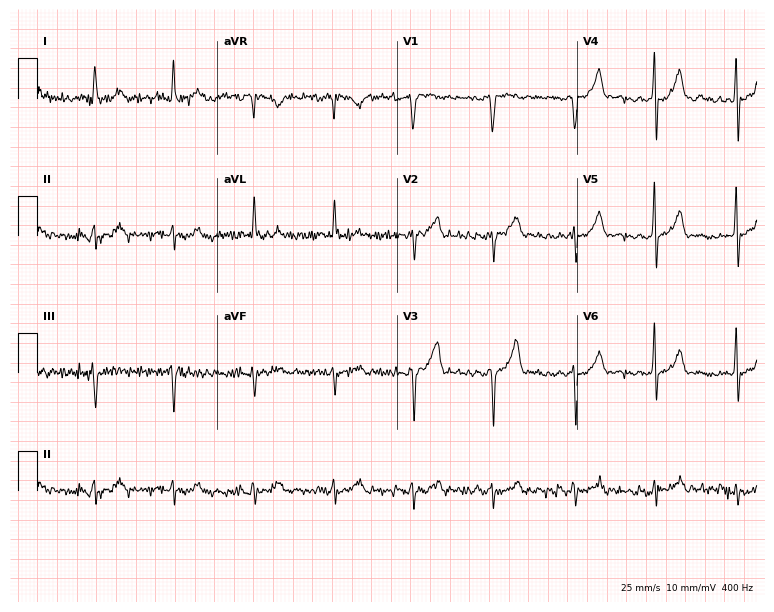
ECG (7.3-second recording at 400 Hz) — a 54-year-old male. Screened for six findings — first-degree AV block, right bundle branch block, left bundle branch block, sinus bradycardia, atrial fibrillation, sinus tachycardia — none is recorded. Findings outside these six are not listed.